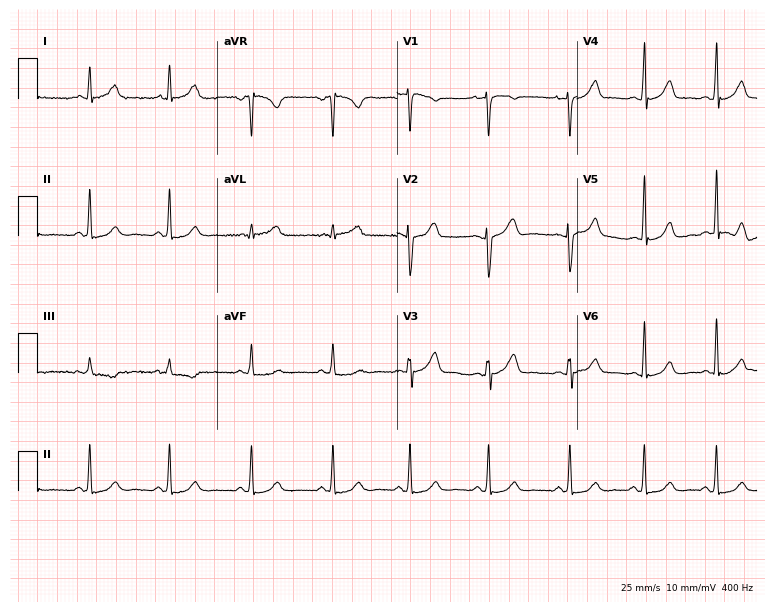
Resting 12-lead electrocardiogram. Patient: a 33-year-old female. Read as a normal ECG.